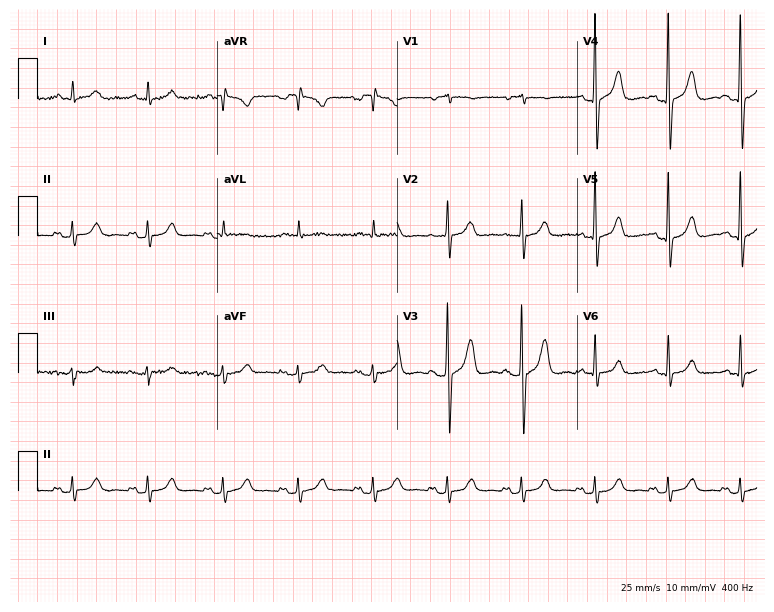
ECG — an 83-year-old male. Screened for six findings — first-degree AV block, right bundle branch block (RBBB), left bundle branch block (LBBB), sinus bradycardia, atrial fibrillation (AF), sinus tachycardia — none is recorded. Only these six findings were labelled.